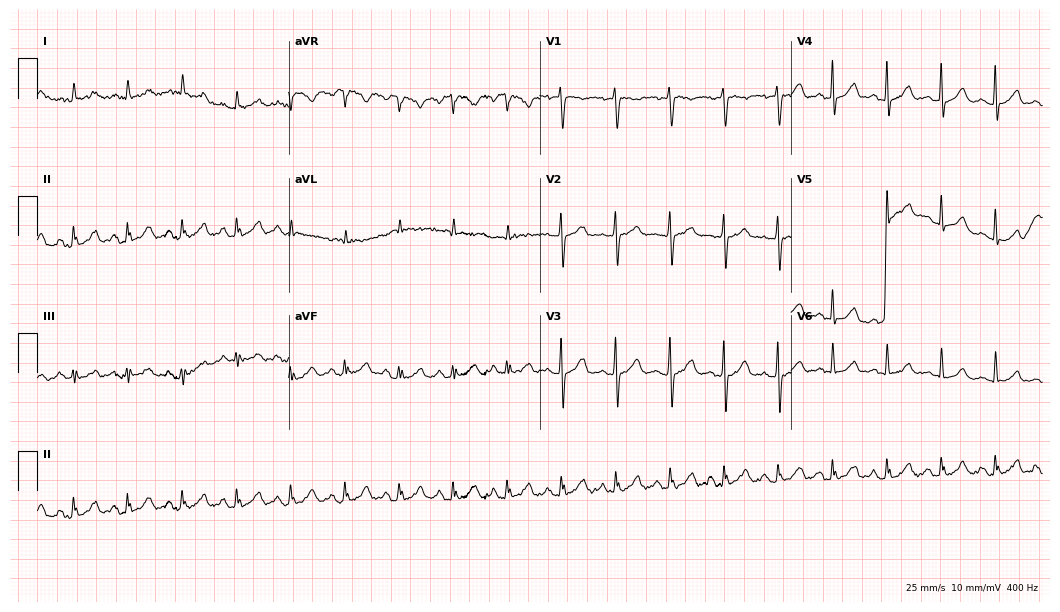
12-lead ECG from an 81-year-old male patient (10.2-second recording at 400 Hz). Shows sinus tachycardia (a sinus rate of 100 beats per minute or more).